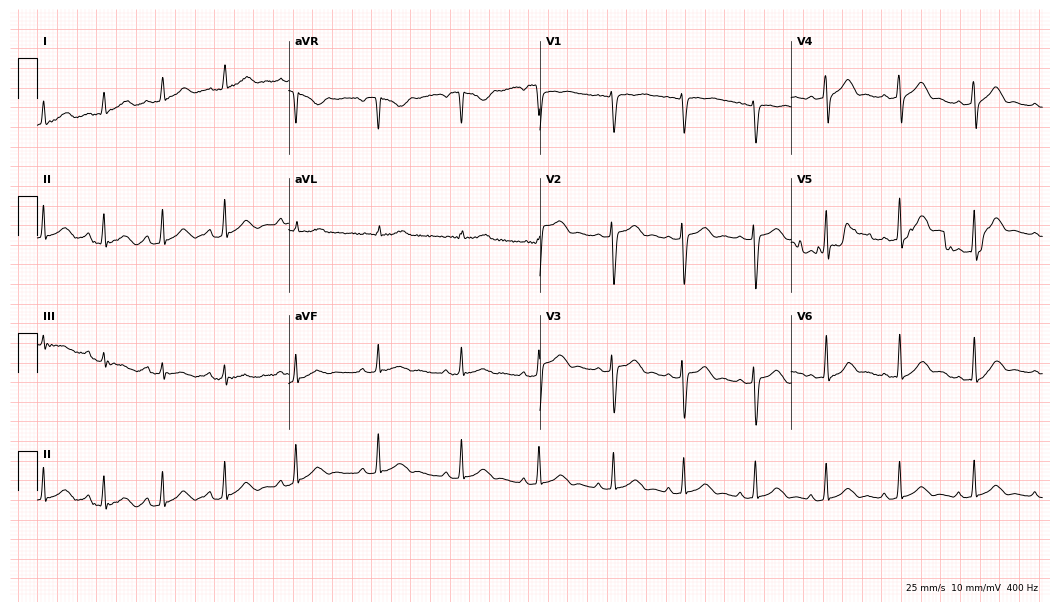
Standard 12-lead ECG recorded from a 19-year-old female. Read as a normal ECG.